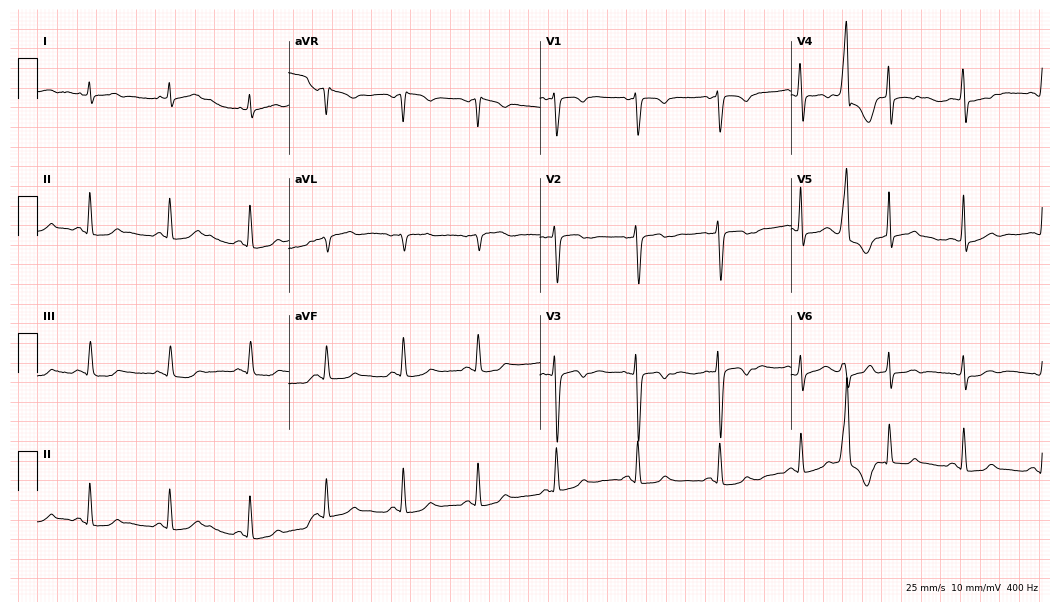
12-lead ECG from a female patient, 35 years old. No first-degree AV block, right bundle branch block (RBBB), left bundle branch block (LBBB), sinus bradycardia, atrial fibrillation (AF) or sinus tachycardia recorded for this tracing. Other findings, if any, are not listed.